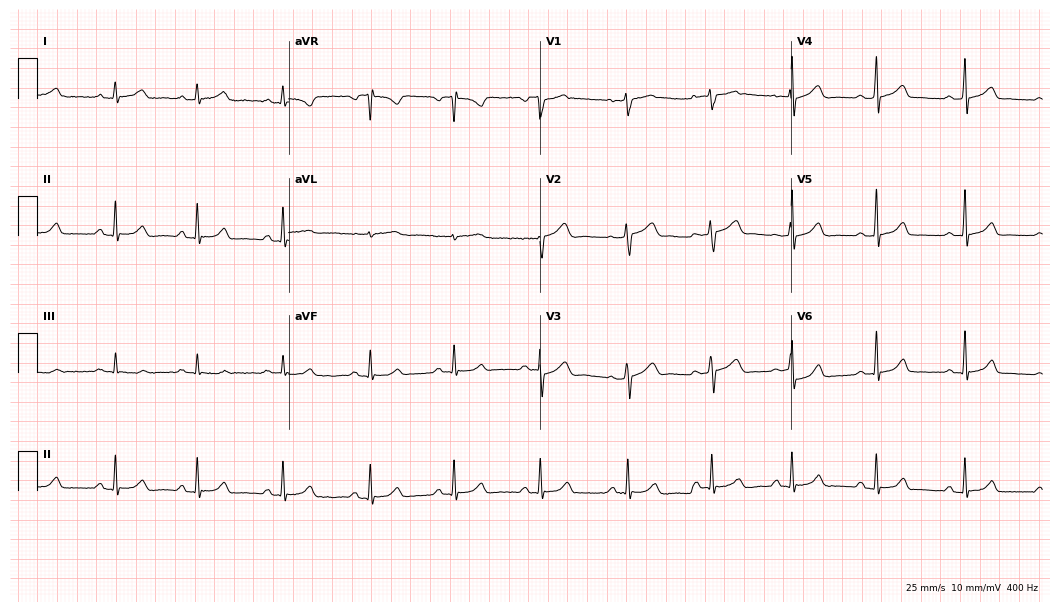
Electrocardiogram (10.2-second recording at 400 Hz), a 41-year-old female patient. Overall reading on record: normal ECG.